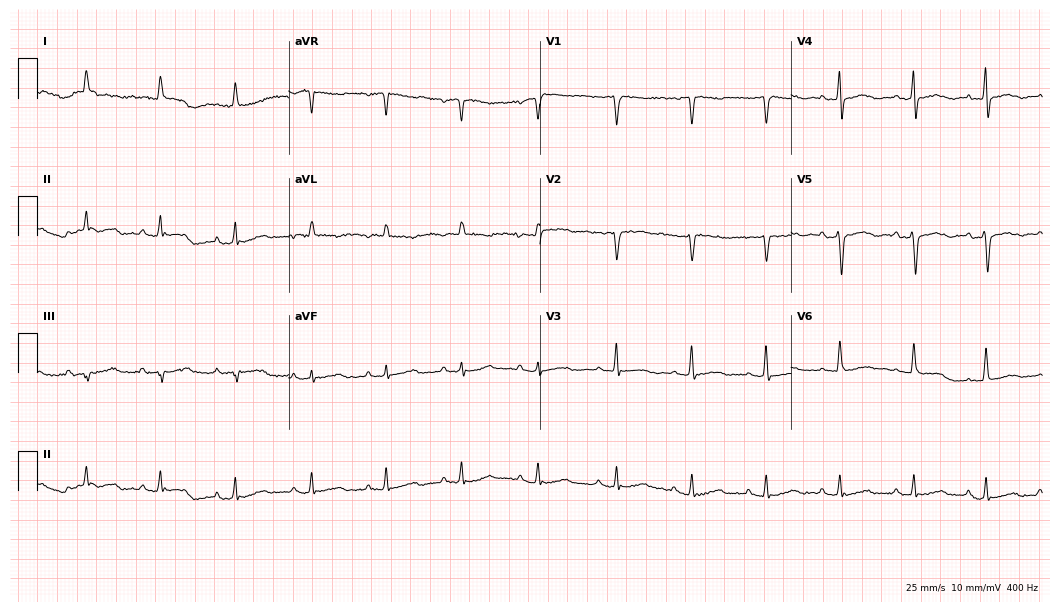
Standard 12-lead ECG recorded from a man, 52 years old. Read as a normal ECG.